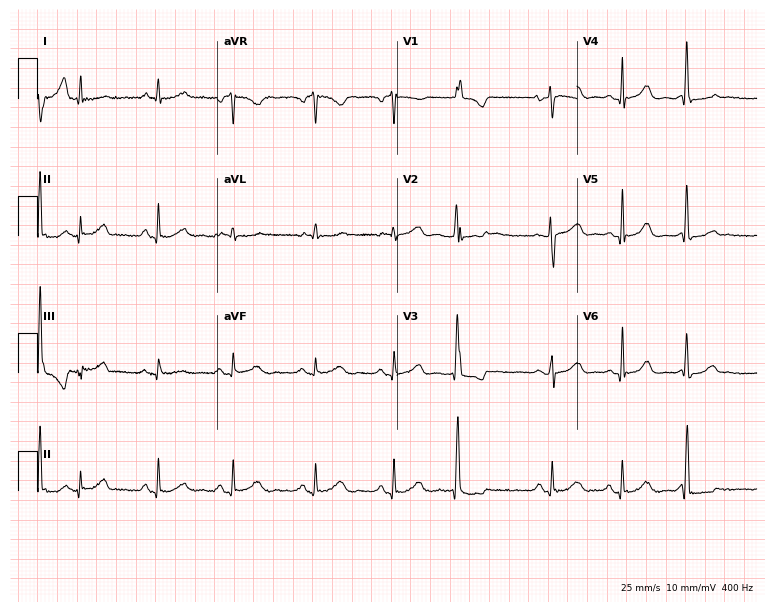
12-lead ECG from a 34-year-old female patient. No first-degree AV block, right bundle branch block, left bundle branch block, sinus bradycardia, atrial fibrillation or sinus tachycardia recorded for this tracing. Findings outside these six are not listed.